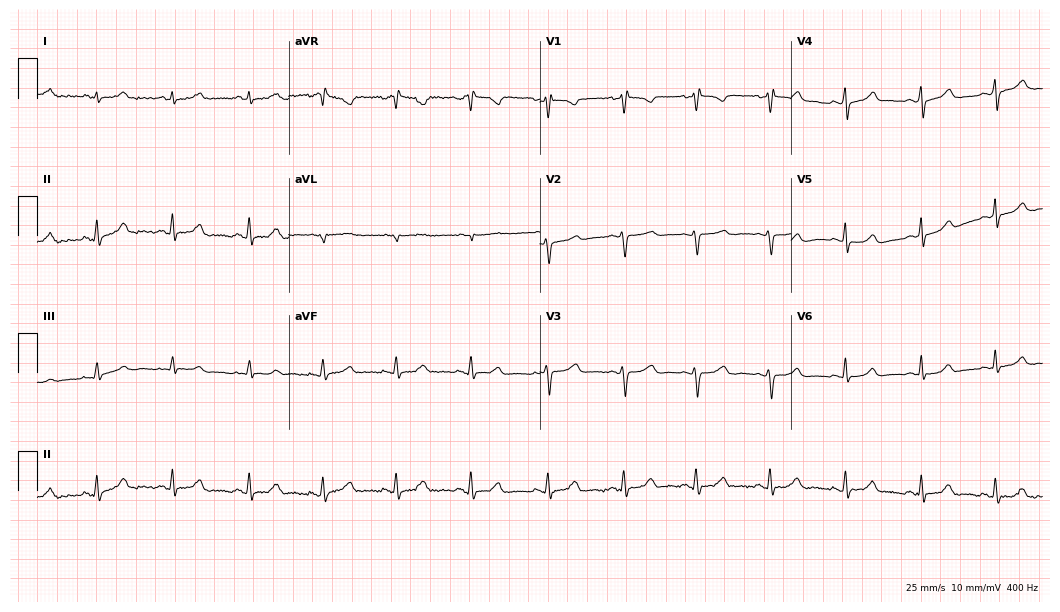
12-lead ECG from a female patient, 32 years old. Screened for six findings — first-degree AV block, right bundle branch block (RBBB), left bundle branch block (LBBB), sinus bradycardia, atrial fibrillation (AF), sinus tachycardia — none is recorded. Findings outside these six are not listed.